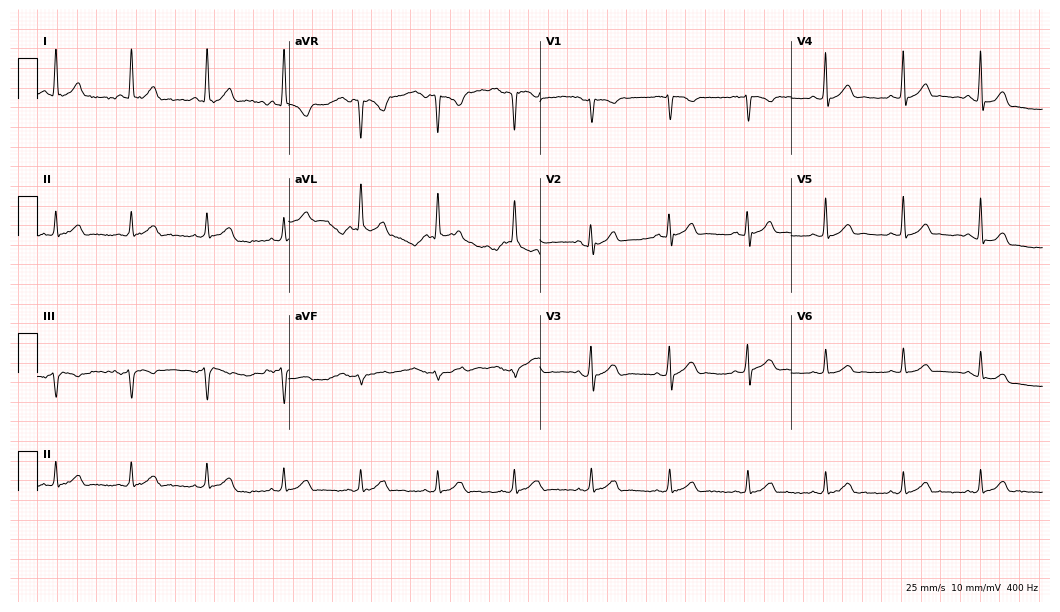
Resting 12-lead electrocardiogram. Patient: a 39-year-old man. Read as a normal ECG.